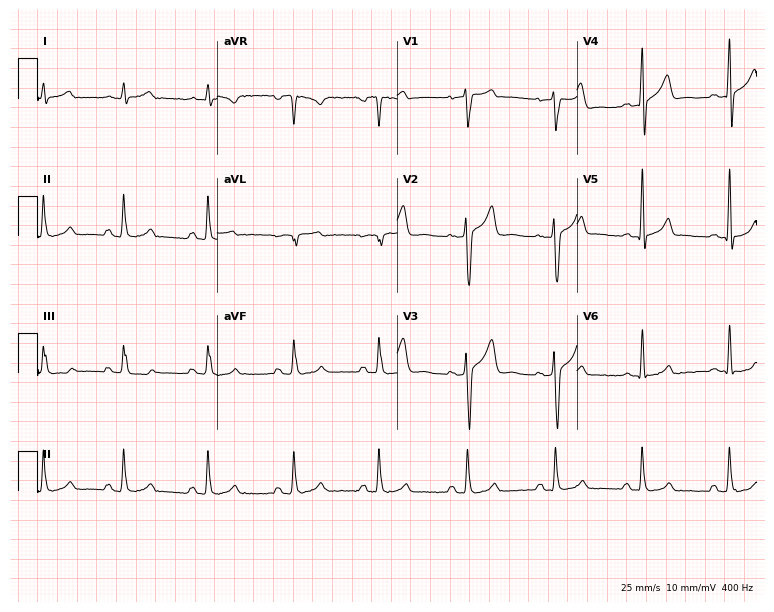
Resting 12-lead electrocardiogram. Patient: a 44-year-old male. None of these six findings is recorded: first-degree AV block, right bundle branch block (RBBB), left bundle branch block (LBBB), sinus bradycardia, atrial fibrillation (AF), sinus tachycardia. Only these six findings were labelled.